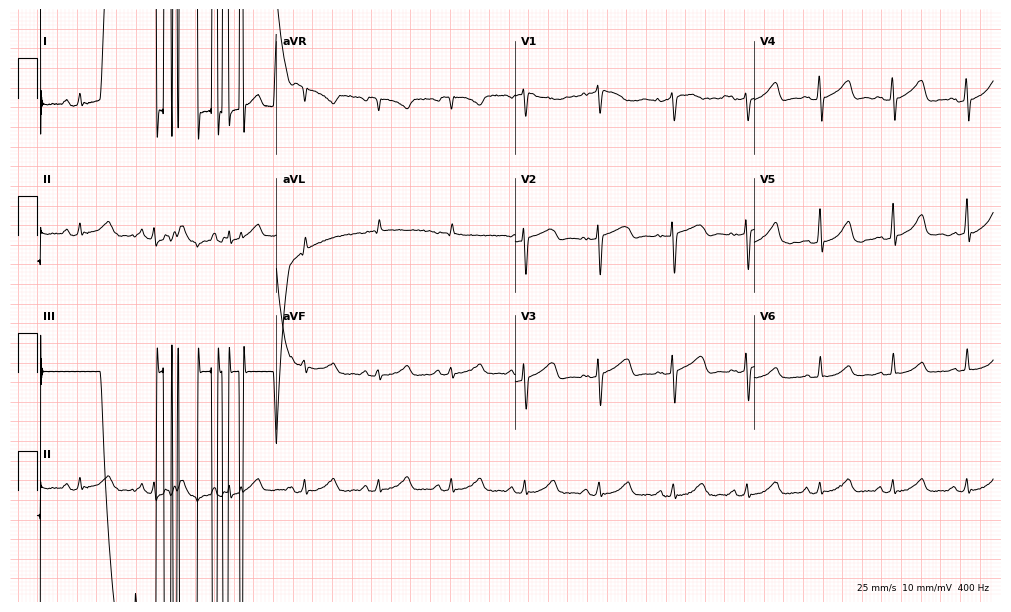
Electrocardiogram (9.7-second recording at 400 Hz), a 46-year-old female patient. Of the six screened findings (first-degree AV block, right bundle branch block (RBBB), left bundle branch block (LBBB), sinus bradycardia, atrial fibrillation (AF), sinus tachycardia), none is recorded. Findings outside these six are not listed.